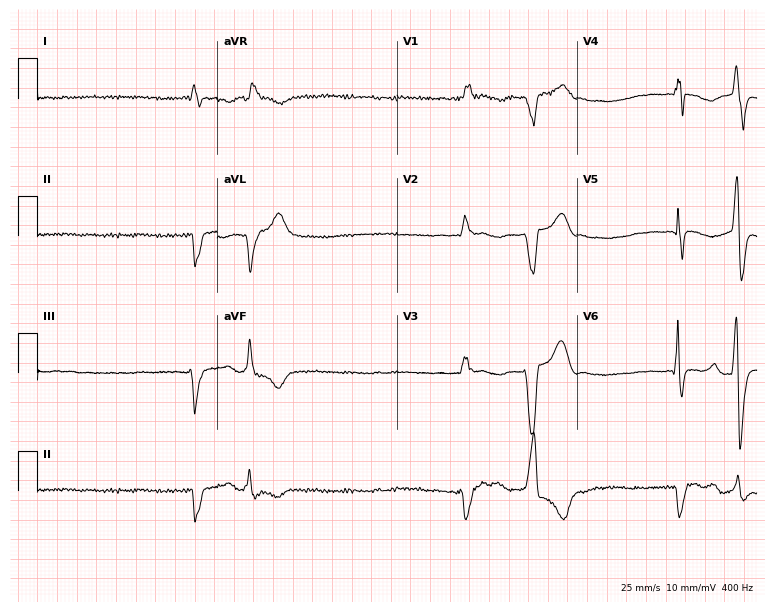
Standard 12-lead ECG recorded from a male, 65 years old (7.3-second recording at 400 Hz). The tracing shows right bundle branch block (RBBB), atrial fibrillation (AF).